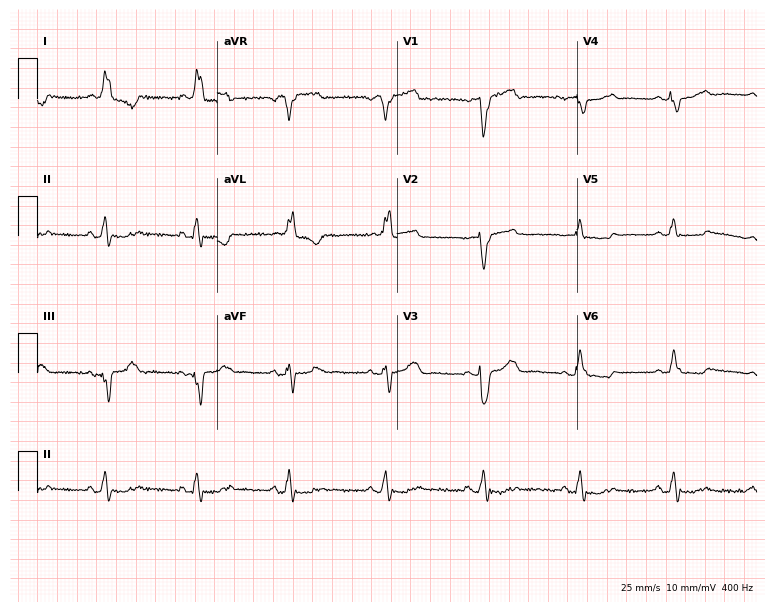
Electrocardiogram, a female patient, 78 years old. Interpretation includes left bundle branch block (LBBB).